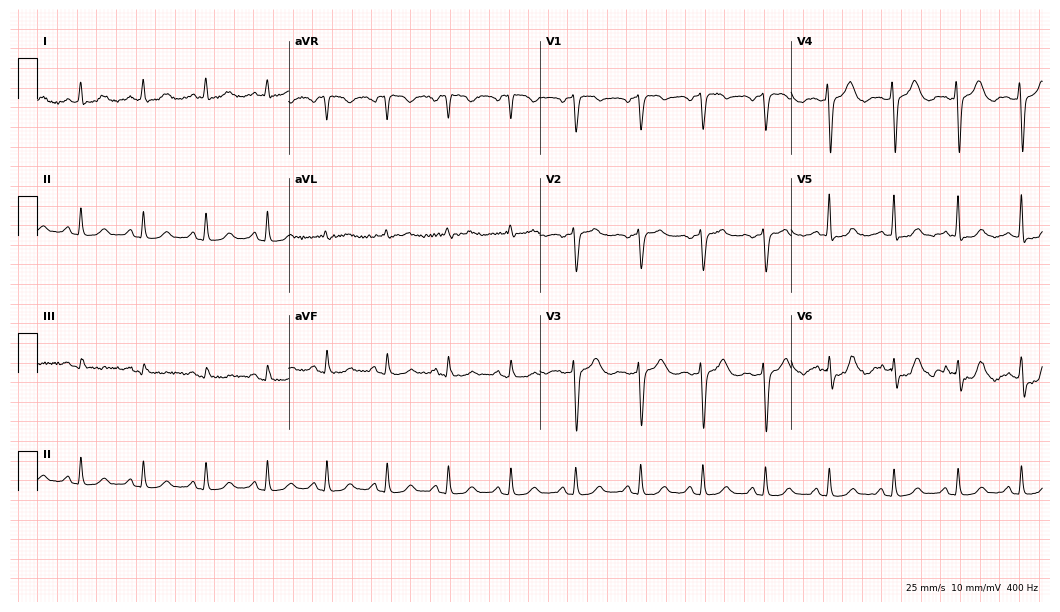
Electrocardiogram (10.2-second recording at 400 Hz), a 49-year-old female patient. Of the six screened findings (first-degree AV block, right bundle branch block (RBBB), left bundle branch block (LBBB), sinus bradycardia, atrial fibrillation (AF), sinus tachycardia), none is recorded.